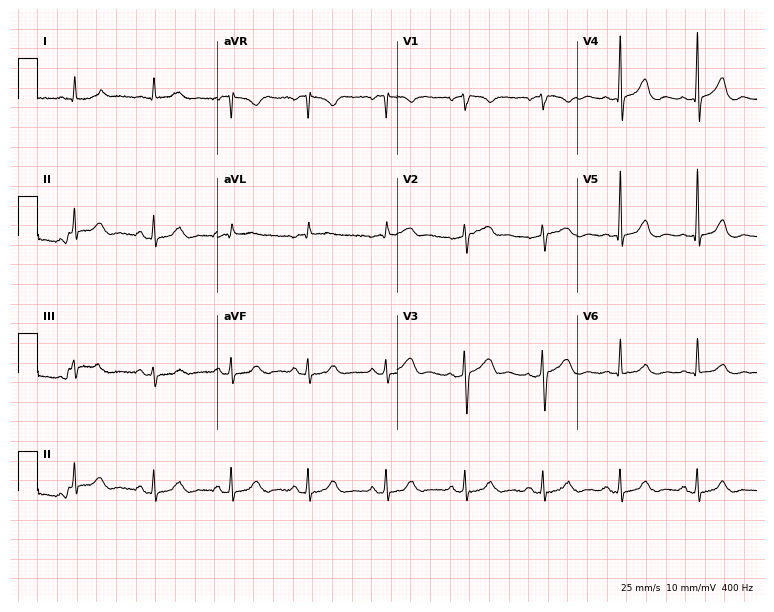
ECG (7.3-second recording at 400 Hz) — a woman, 63 years old. Screened for six findings — first-degree AV block, right bundle branch block, left bundle branch block, sinus bradycardia, atrial fibrillation, sinus tachycardia — none is recorded.